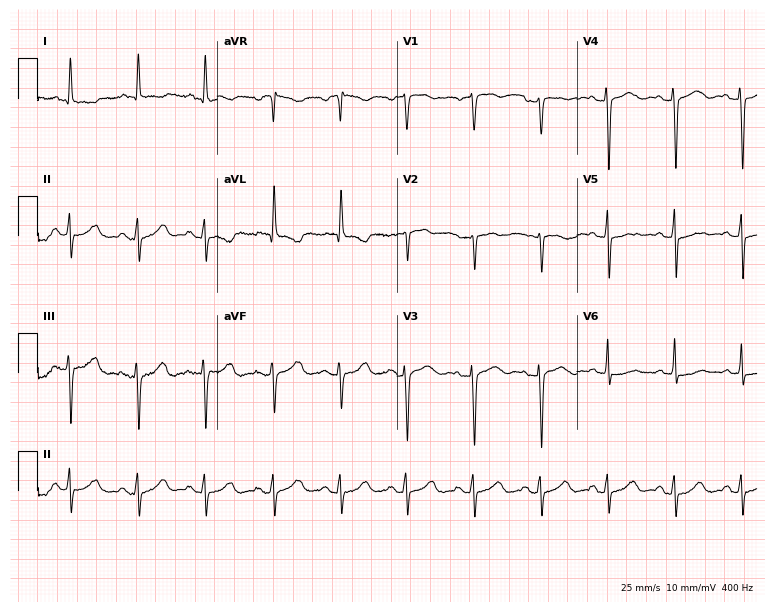
ECG (7.3-second recording at 400 Hz) — a woman, 65 years old. Screened for six findings — first-degree AV block, right bundle branch block, left bundle branch block, sinus bradycardia, atrial fibrillation, sinus tachycardia — none is recorded. Findings outside these six are not listed.